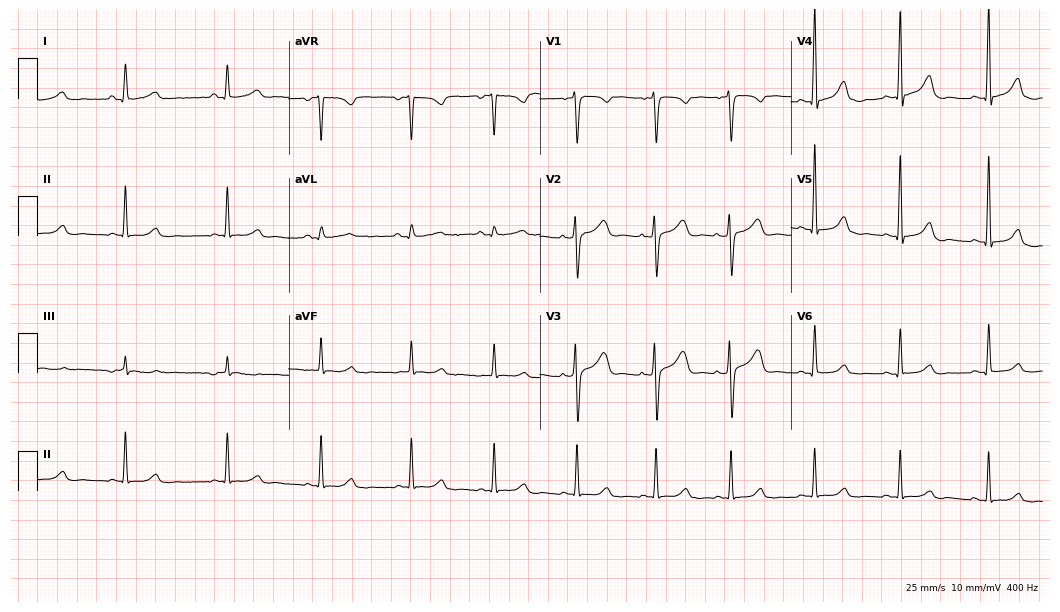
Electrocardiogram (10.2-second recording at 400 Hz), a male patient, 30 years old. Overall reading on record: normal ECG.